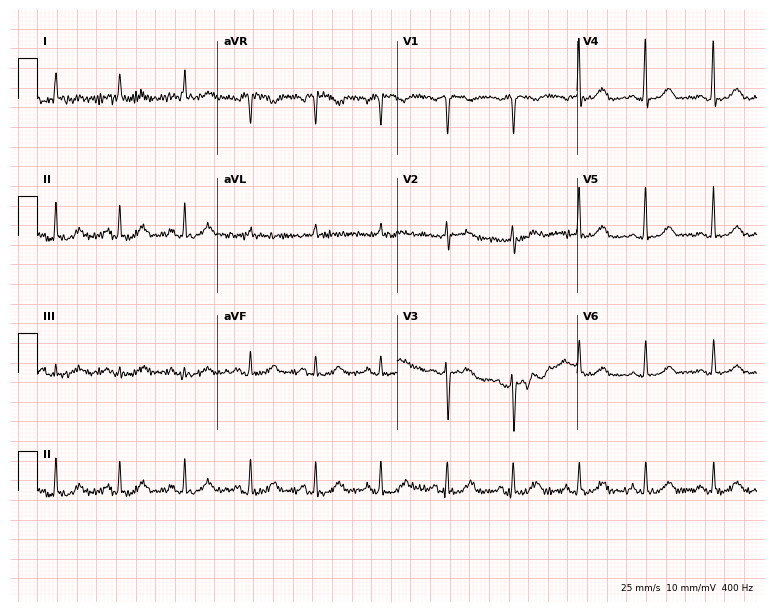
Resting 12-lead electrocardiogram. Patient: a 63-year-old woman. None of these six findings is recorded: first-degree AV block, right bundle branch block, left bundle branch block, sinus bradycardia, atrial fibrillation, sinus tachycardia. Only these six findings were labelled.